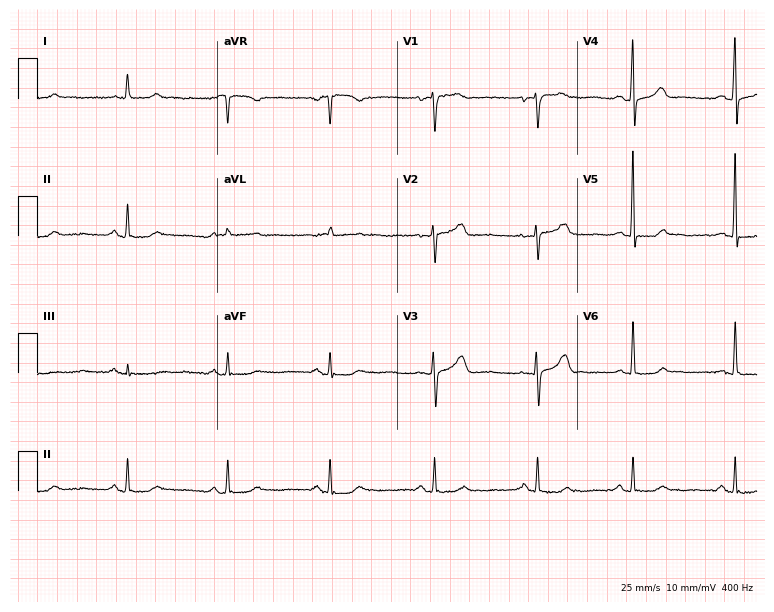
Standard 12-lead ECG recorded from a 59-year-old female patient. Read as a normal ECG.